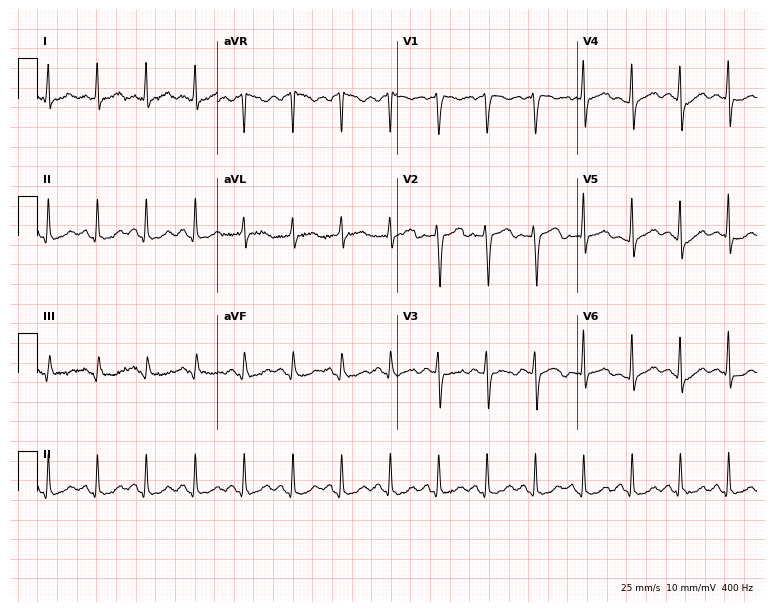
Electrocardiogram, a 45-year-old woman. Interpretation includes sinus tachycardia (a sinus rate of 100 beats per minute or more).